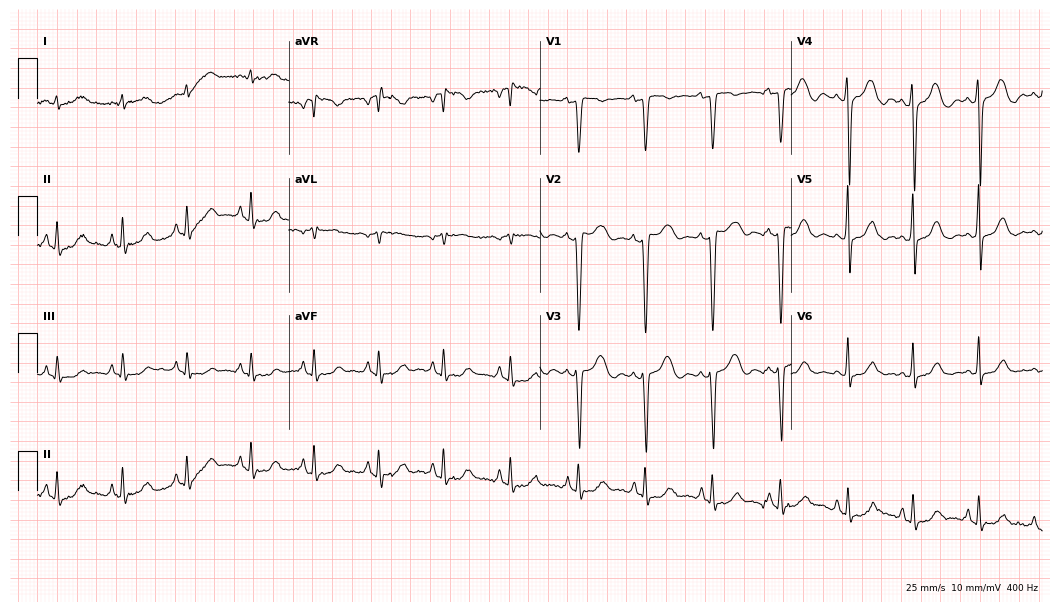
Electrocardiogram (10.2-second recording at 400 Hz), a female patient, 49 years old. Of the six screened findings (first-degree AV block, right bundle branch block, left bundle branch block, sinus bradycardia, atrial fibrillation, sinus tachycardia), none is recorded. Findings outside these six are not listed.